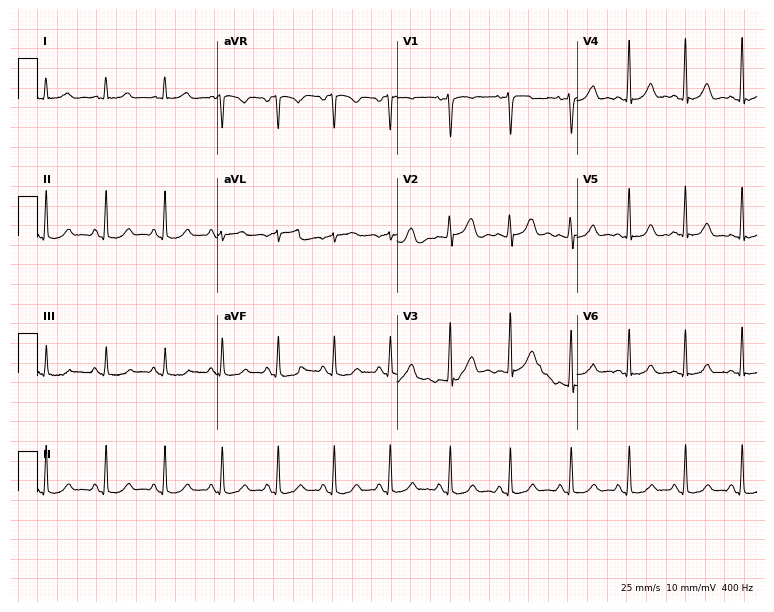
Resting 12-lead electrocardiogram (7.3-second recording at 400 Hz). Patient: a 22-year-old female. None of these six findings is recorded: first-degree AV block, right bundle branch block (RBBB), left bundle branch block (LBBB), sinus bradycardia, atrial fibrillation (AF), sinus tachycardia. Findings outside these six are not listed.